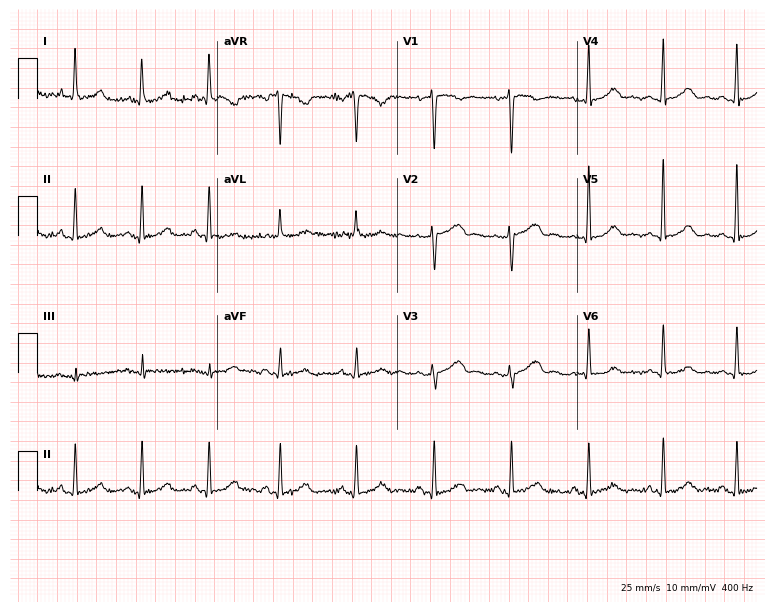
ECG — a 49-year-old female patient. Labelled as a normal ECG.